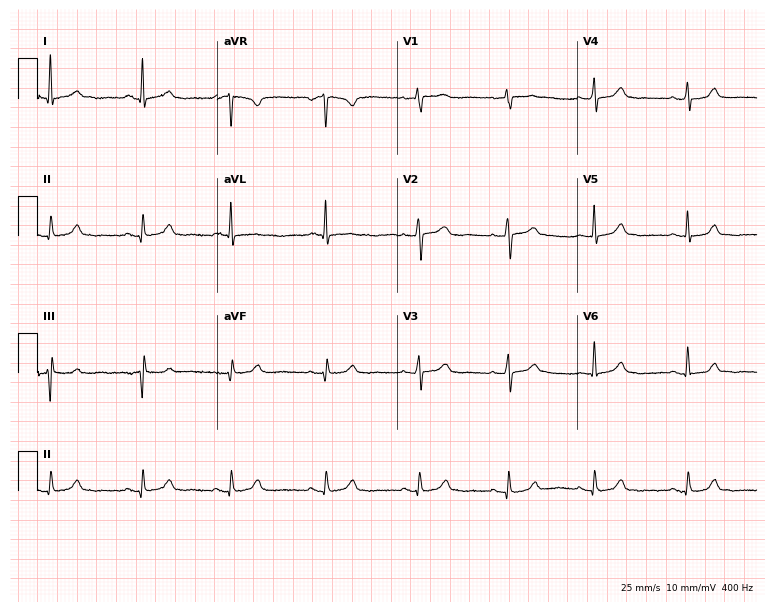
12-lead ECG from a 69-year-old woman. Labelled as a normal ECG.